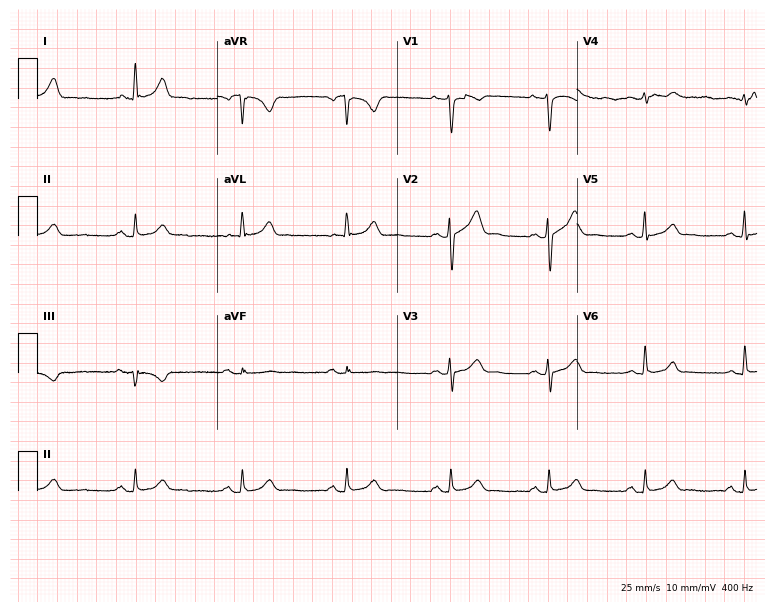
12-lead ECG from a 44-year-old male patient. Recorded interpretation: within normal limits.